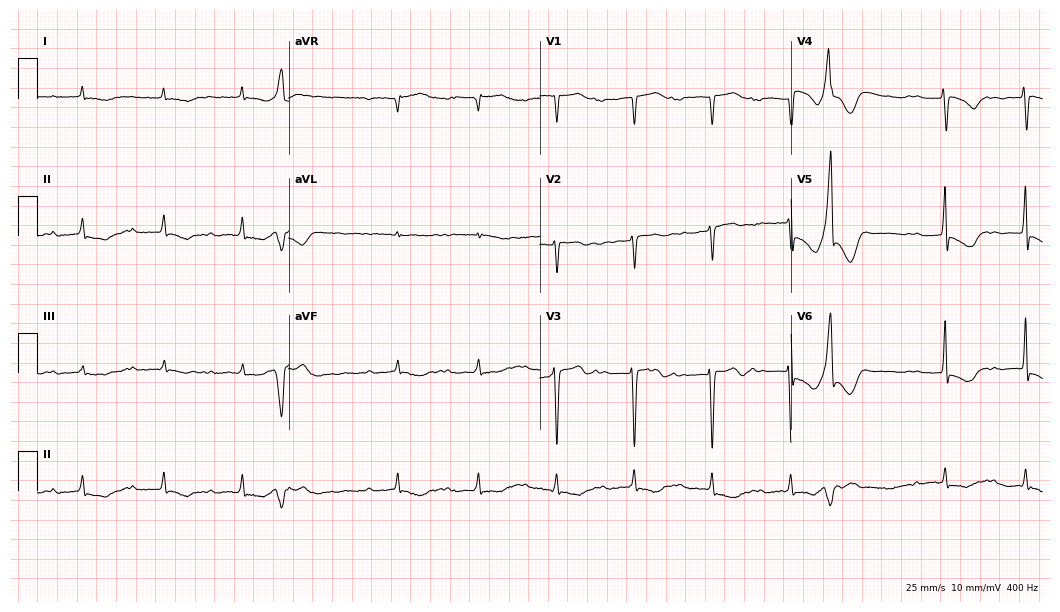
12-lead ECG from a man, 85 years old. No first-degree AV block, right bundle branch block, left bundle branch block, sinus bradycardia, atrial fibrillation or sinus tachycardia recorded for this tracing.